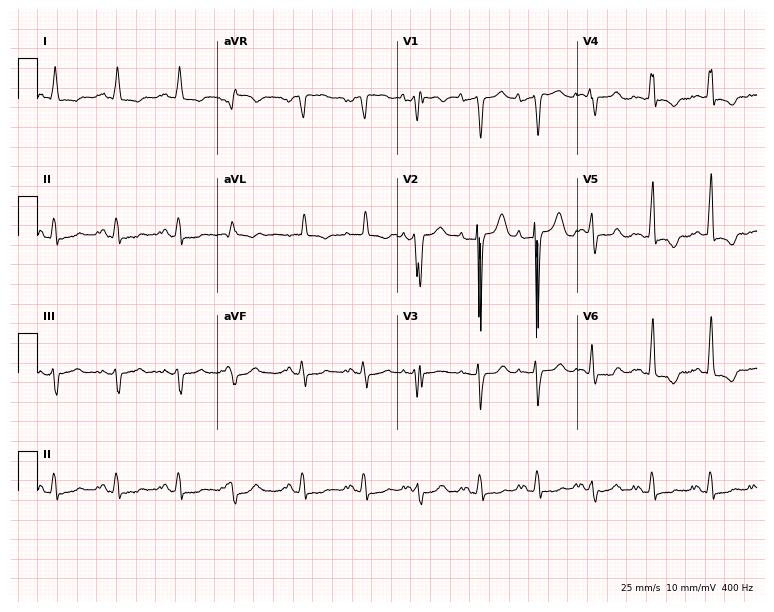
Electrocardiogram, a 47-year-old female. Of the six screened findings (first-degree AV block, right bundle branch block, left bundle branch block, sinus bradycardia, atrial fibrillation, sinus tachycardia), none is recorded. Findings outside these six are not listed.